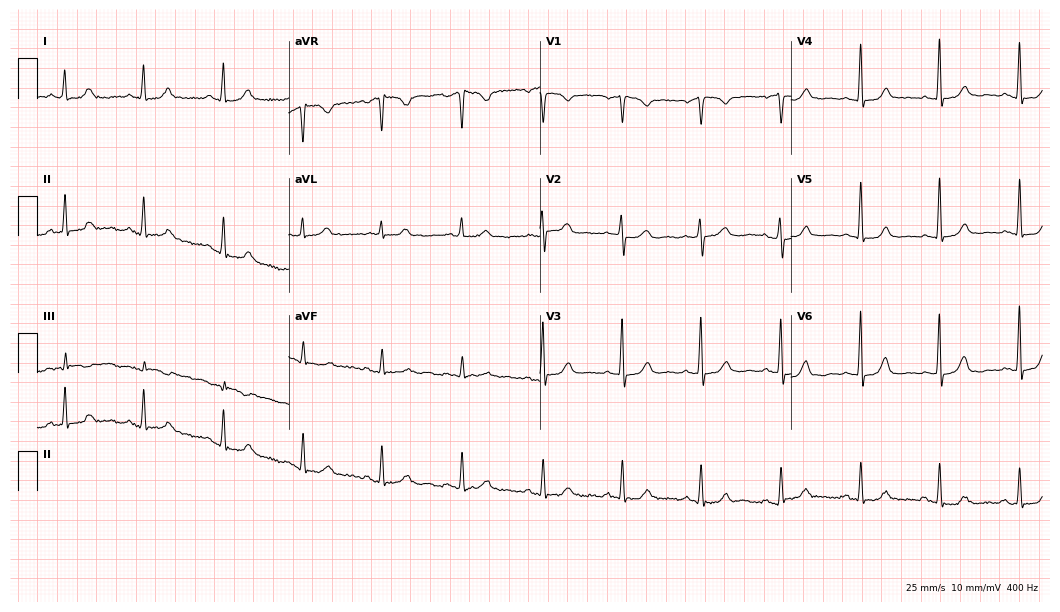
Standard 12-lead ECG recorded from a 66-year-old female patient (10.2-second recording at 400 Hz). None of these six findings is recorded: first-degree AV block, right bundle branch block, left bundle branch block, sinus bradycardia, atrial fibrillation, sinus tachycardia.